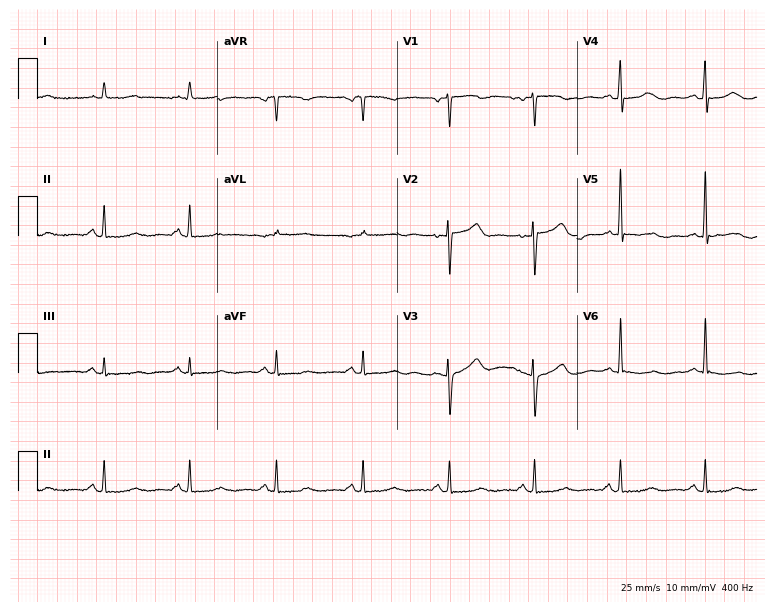
Resting 12-lead electrocardiogram (7.3-second recording at 400 Hz). Patient: a 56-year-old female. None of these six findings is recorded: first-degree AV block, right bundle branch block, left bundle branch block, sinus bradycardia, atrial fibrillation, sinus tachycardia.